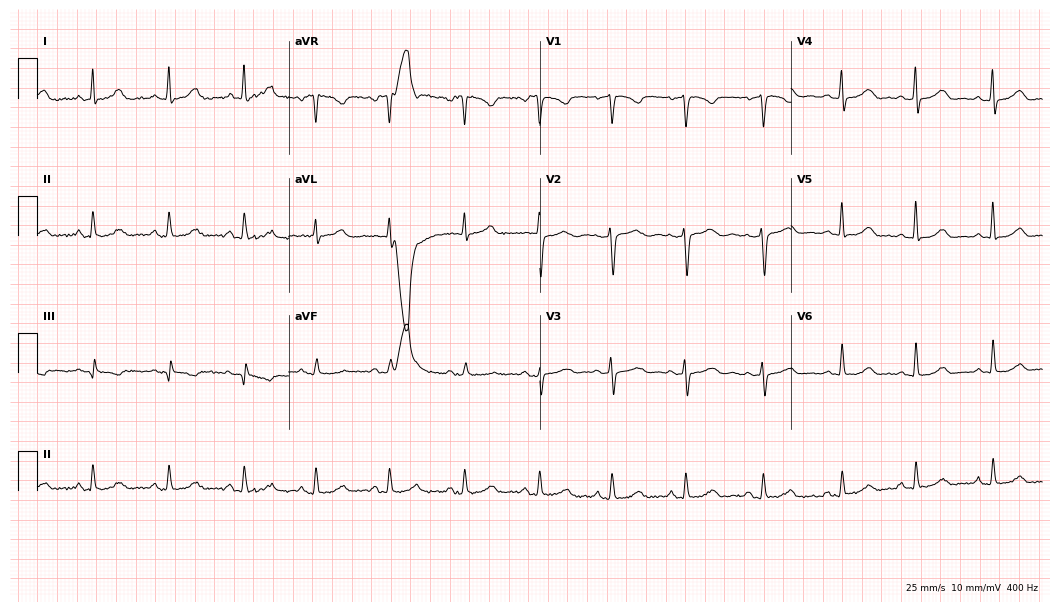
Standard 12-lead ECG recorded from a female, 50 years old. Read as a normal ECG.